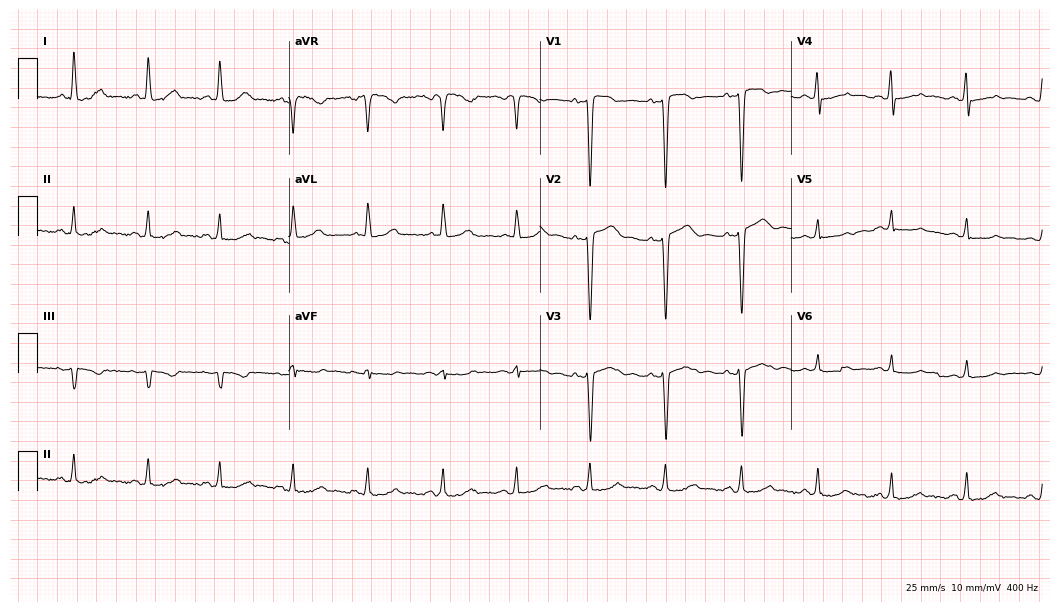
ECG (10.2-second recording at 400 Hz) — a 56-year-old woman. Screened for six findings — first-degree AV block, right bundle branch block, left bundle branch block, sinus bradycardia, atrial fibrillation, sinus tachycardia — none is recorded. Only these six findings were labelled.